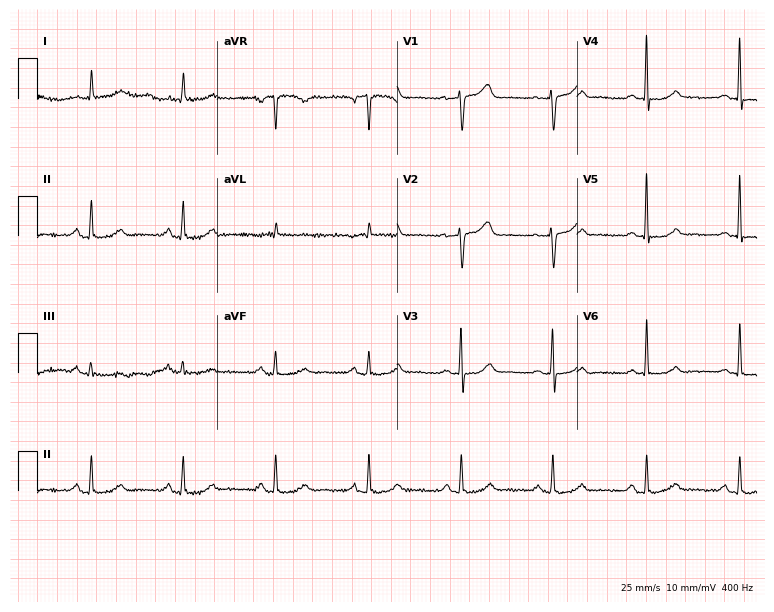
12-lead ECG from a 70-year-old woman. Screened for six findings — first-degree AV block, right bundle branch block, left bundle branch block, sinus bradycardia, atrial fibrillation, sinus tachycardia — none is recorded. Only these six findings were labelled.